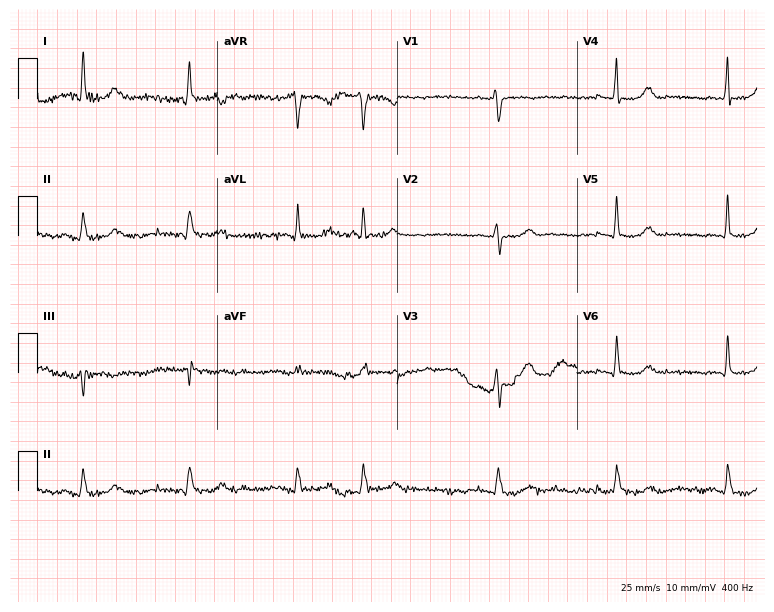
Resting 12-lead electrocardiogram (7.3-second recording at 400 Hz). Patient: a female, 70 years old. None of these six findings is recorded: first-degree AV block, right bundle branch block, left bundle branch block, sinus bradycardia, atrial fibrillation, sinus tachycardia. Findings outside these six are not listed.